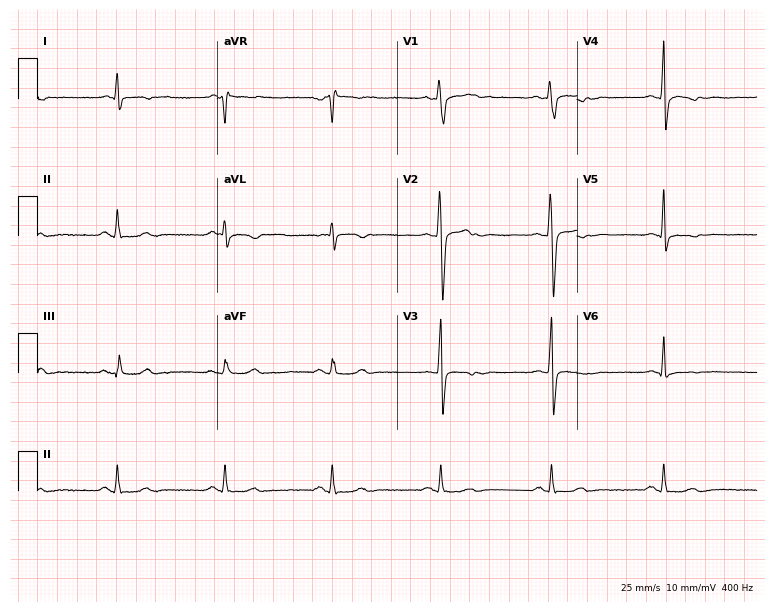
Resting 12-lead electrocardiogram. Patient: a 35-year-old man. None of these six findings is recorded: first-degree AV block, right bundle branch block, left bundle branch block, sinus bradycardia, atrial fibrillation, sinus tachycardia.